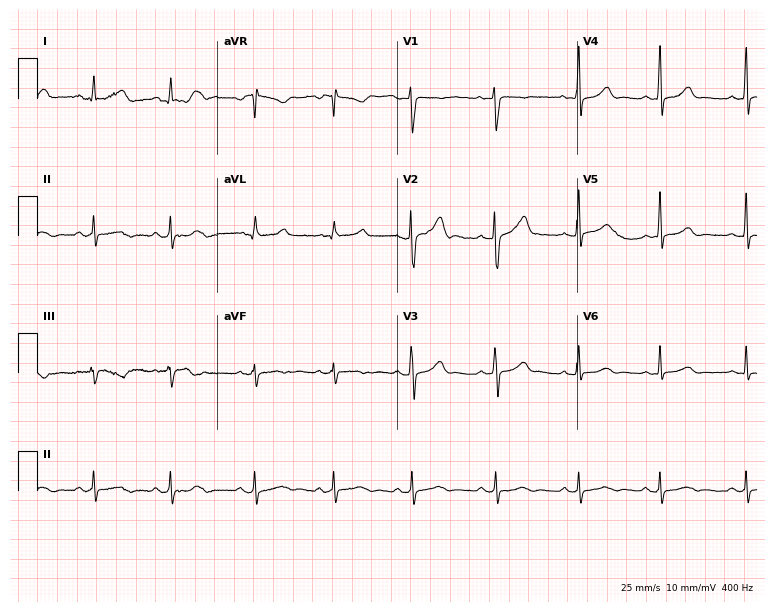
12-lead ECG from a female, 18 years old (7.3-second recording at 400 Hz). Recorded interpretation: within normal limits.